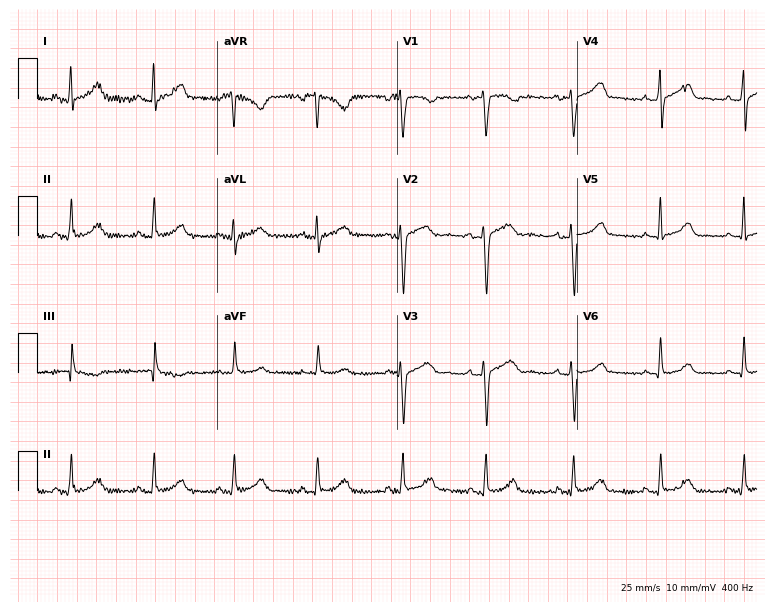
12-lead ECG (7.3-second recording at 400 Hz) from a woman, 22 years old. Labelled as a normal ECG.